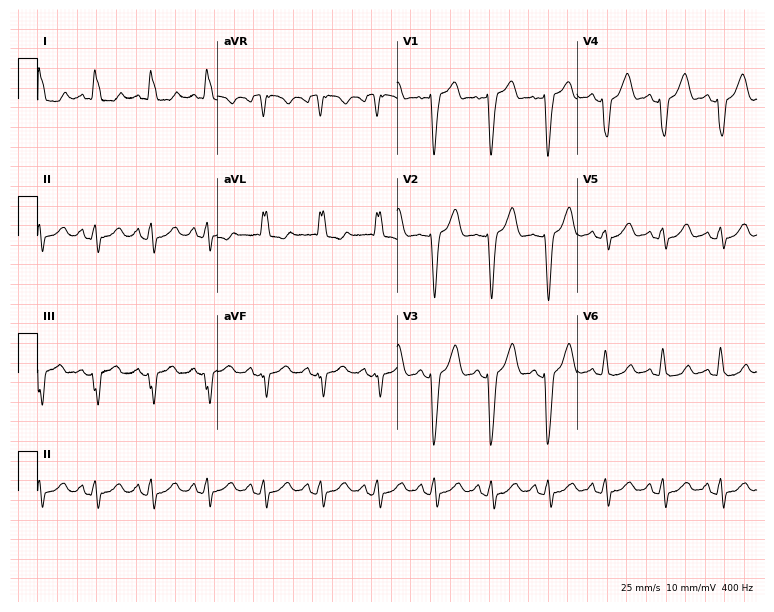
Resting 12-lead electrocardiogram. Patient: a woman, 72 years old. None of these six findings is recorded: first-degree AV block, right bundle branch block, left bundle branch block, sinus bradycardia, atrial fibrillation, sinus tachycardia. Findings outside these six are not listed.